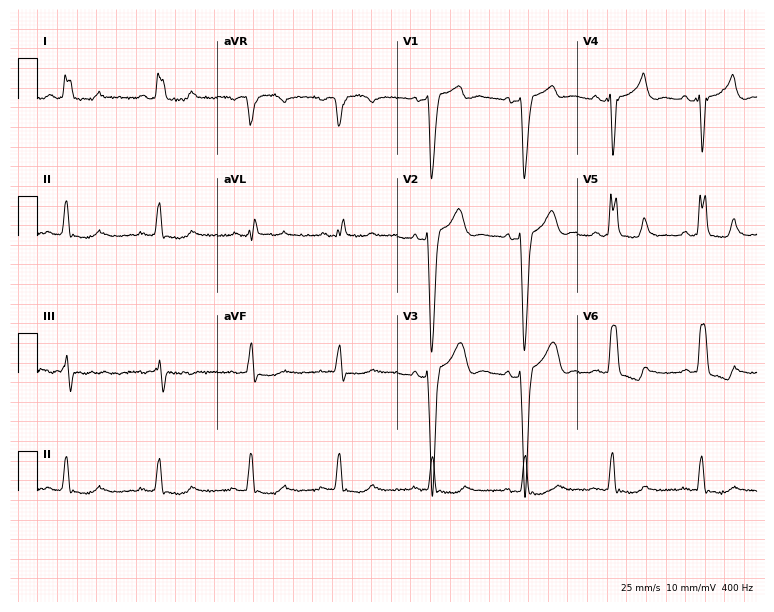
Electrocardiogram, a 67-year-old female. Interpretation includes left bundle branch block (LBBB).